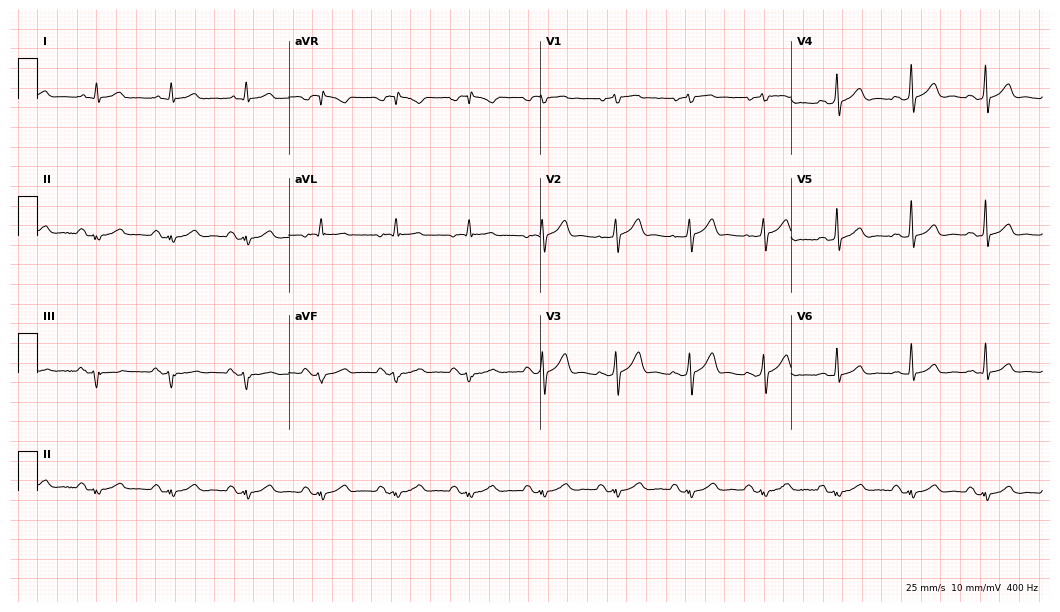
12-lead ECG (10.2-second recording at 400 Hz) from a male patient, 61 years old. Screened for six findings — first-degree AV block, right bundle branch block (RBBB), left bundle branch block (LBBB), sinus bradycardia, atrial fibrillation (AF), sinus tachycardia — none is recorded. Other findings, if any, are not listed.